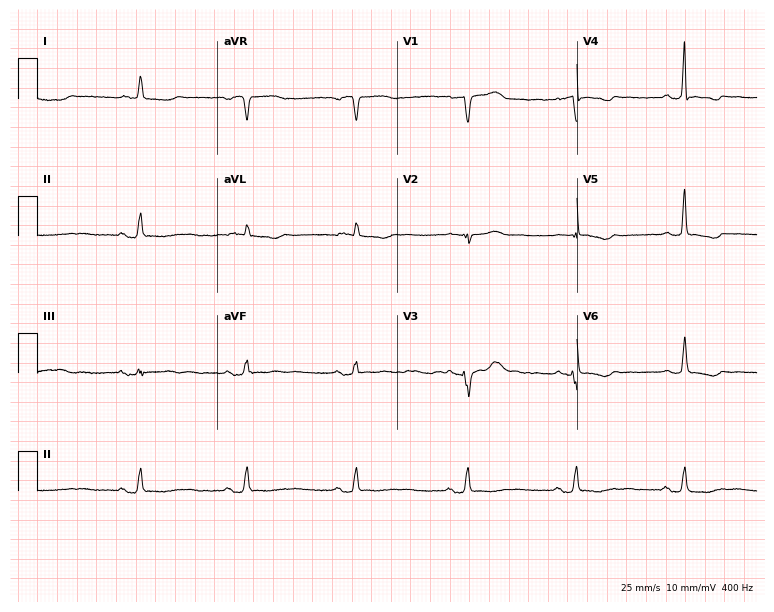
Electrocardiogram (7.3-second recording at 400 Hz), a 53-year-old female patient. Of the six screened findings (first-degree AV block, right bundle branch block (RBBB), left bundle branch block (LBBB), sinus bradycardia, atrial fibrillation (AF), sinus tachycardia), none is recorded. Only these six findings were labelled.